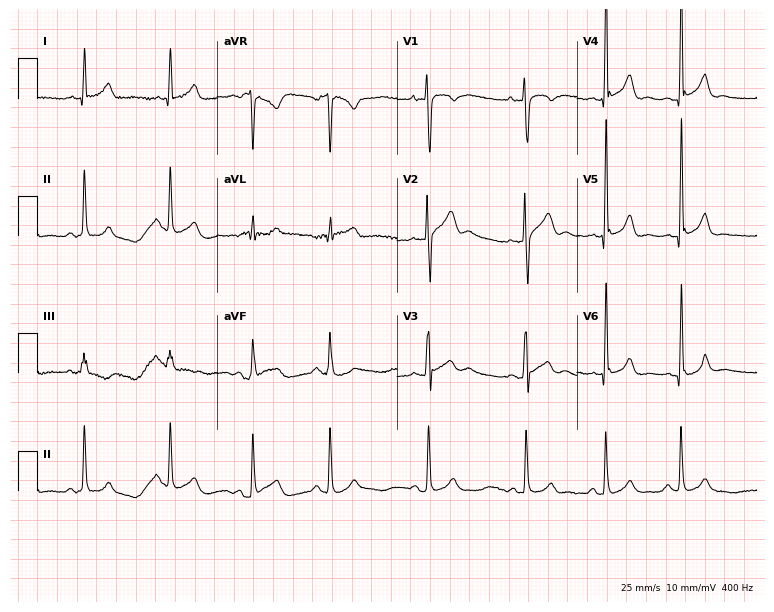
ECG (7.3-second recording at 400 Hz) — a 19-year-old man. Screened for six findings — first-degree AV block, right bundle branch block (RBBB), left bundle branch block (LBBB), sinus bradycardia, atrial fibrillation (AF), sinus tachycardia — none is recorded. Other findings, if any, are not listed.